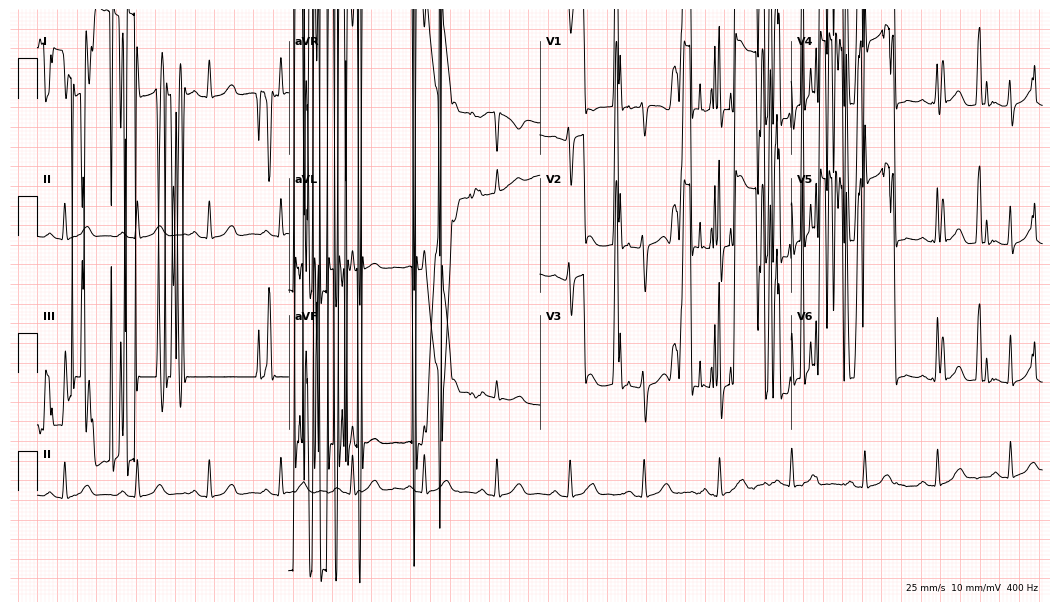
Electrocardiogram (10.2-second recording at 400 Hz), a woman, 56 years old. Of the six screened findings (first-degree AV block, right bundle branch block, left bundle branch block, sinus bradycardia, atrial fibrillation, sinus tachycardia), none is recorded.